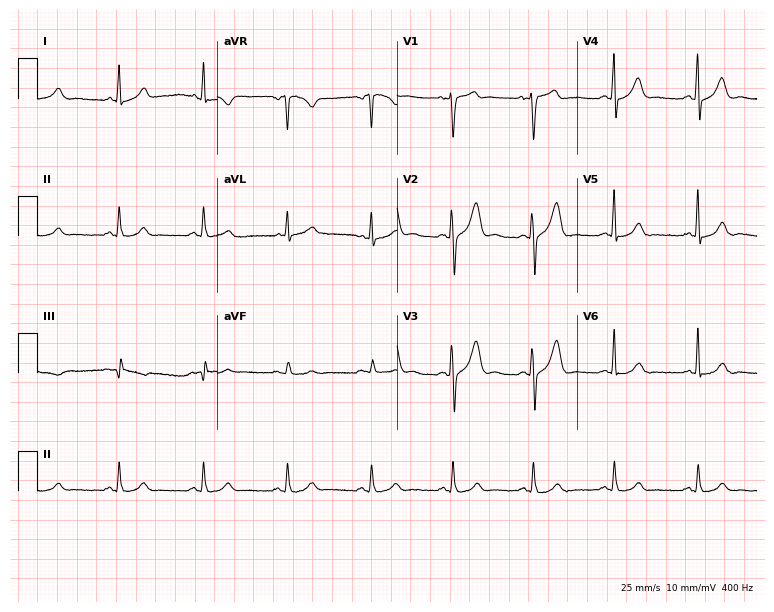
ECG (7.3-second recording at 400 Hz) — a man, 52 years old. Screened for six findings — first-degree AV block, right bundle branch block, left bundle branch block, sinus bradycardia, atrial fibrillation, sinus tachycardia — none is recorded. Findings outside these six are not listed.